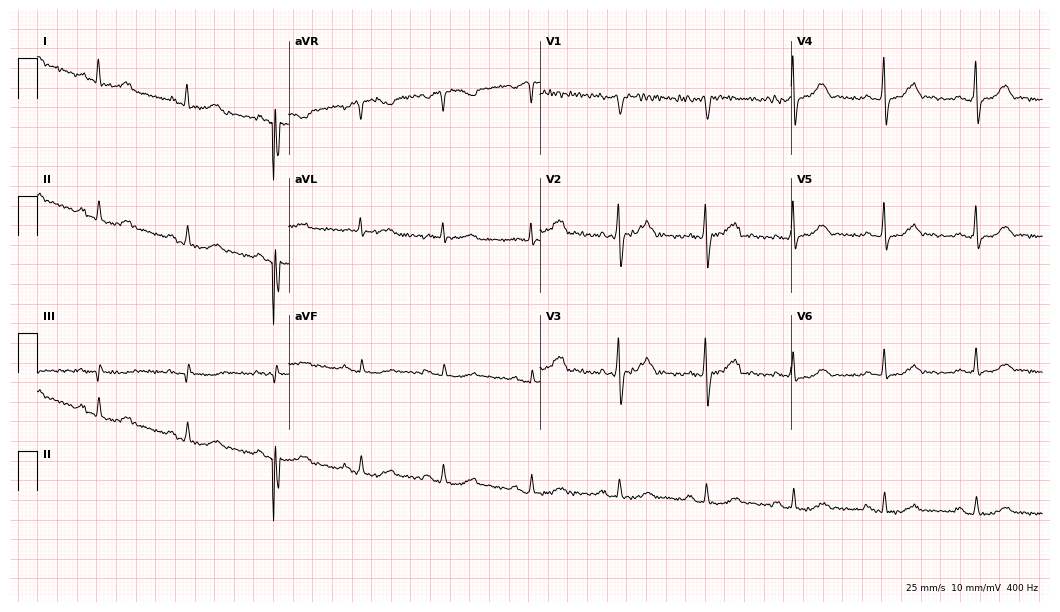
12-lead ECG from a 44-year-old female (10.2-second recording at 400 Hz). No first-degree AV block, right bundle branch block, left bundle branch block, sinus bradycardia, atrial fibrillation or sinus tachycardia recorded for this tracing. Findings outside these six are not listed.